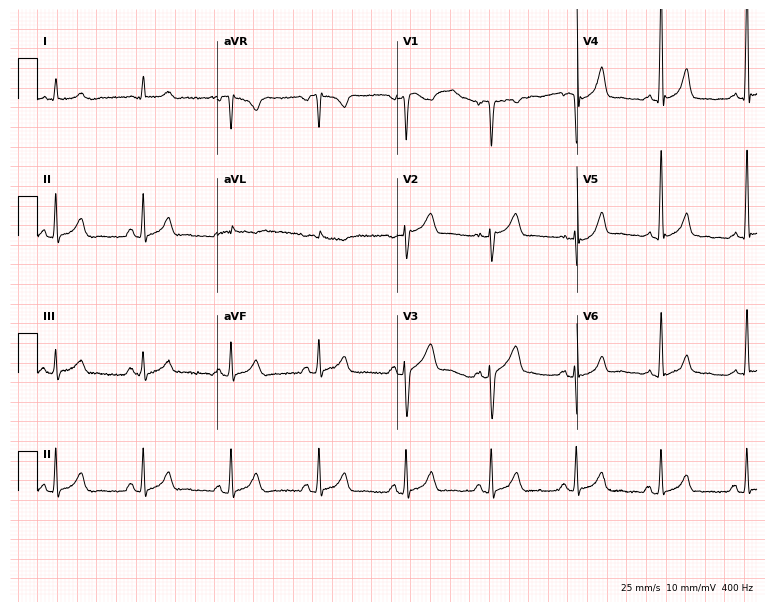
ECG — a male patient, 56 years old. Labelled as a normal ECG.